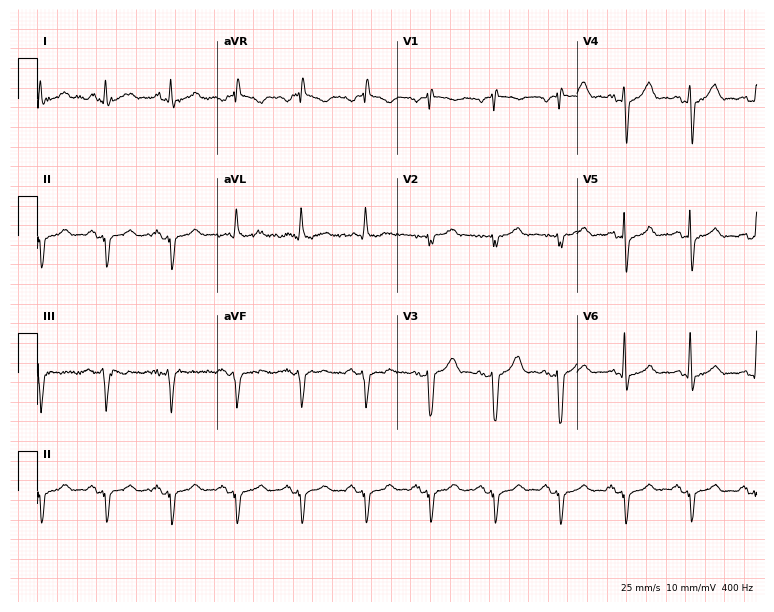
Electrocardiogram, a male, 73 years old. Of the six screened findings (first-degree AV block, right bundle branch block, left bundle branch block, sinus bradycardia, atrial fibrillation, sinus tachycardia), none is recorded.